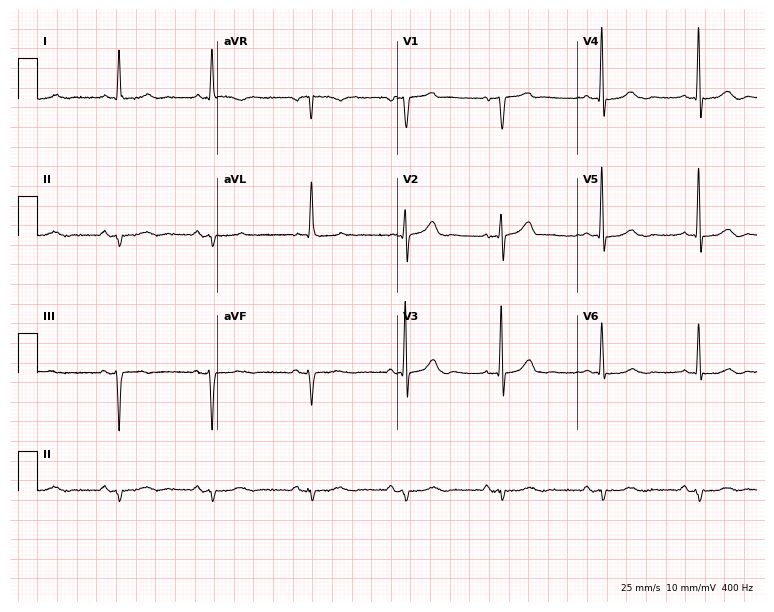
12-lead ECG (7.3-second recording at 400 Hz) from an 80-year-old male patient. Screened for six findings — first-degree AV block, right bundle branch block, left bundle branch block, sinus bradycardia, atrial fibrillation, sinus tachycardia — none is recorded. Findings outside these six are not listed.